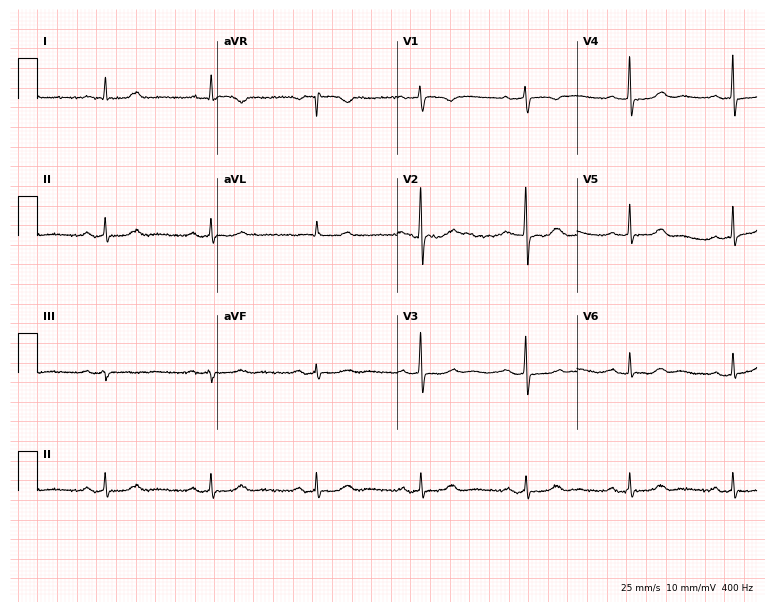
ECG (7.3-second recording at 400 Hz) — an 80-year-old female patient. Labelled as a normal ECG.